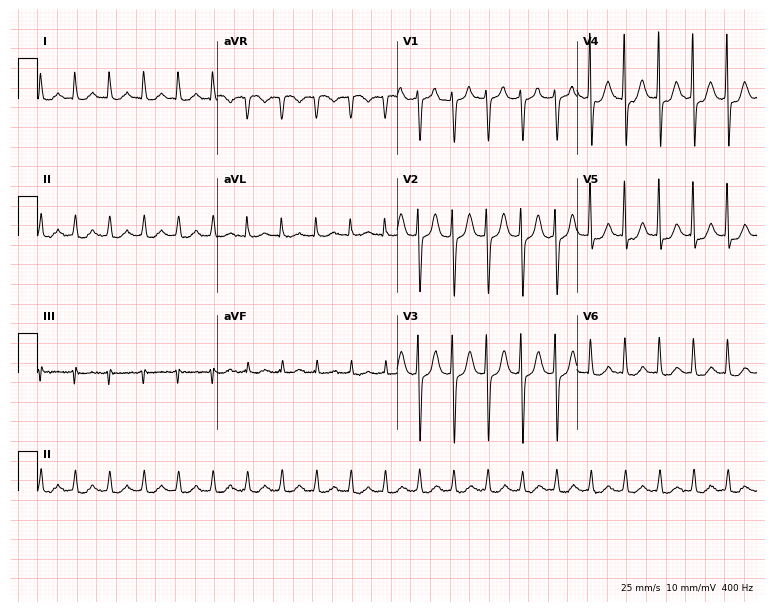
ECG (7.3-second recording at 400 Hz) — a woman, 62 years old. Screened for six findings — first-degree AV block, right bundle branch block, left bundle branch block, sinus bradycardia, atrial fibrillation, sinus tachycardia — none is recorded.